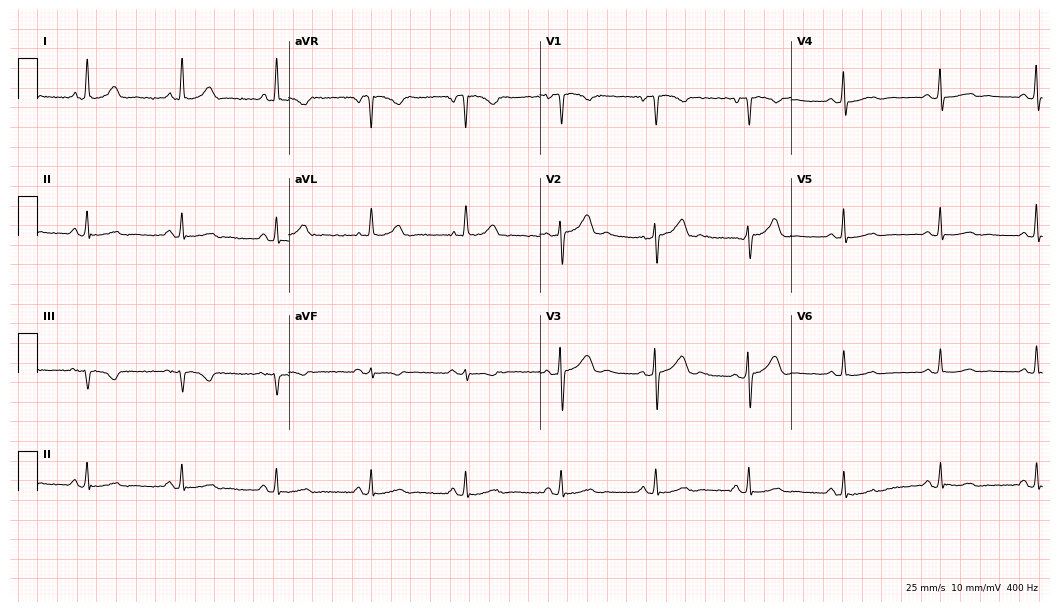
12-lead ECG from a female, 57 years old. Labelled as a normal ECG.